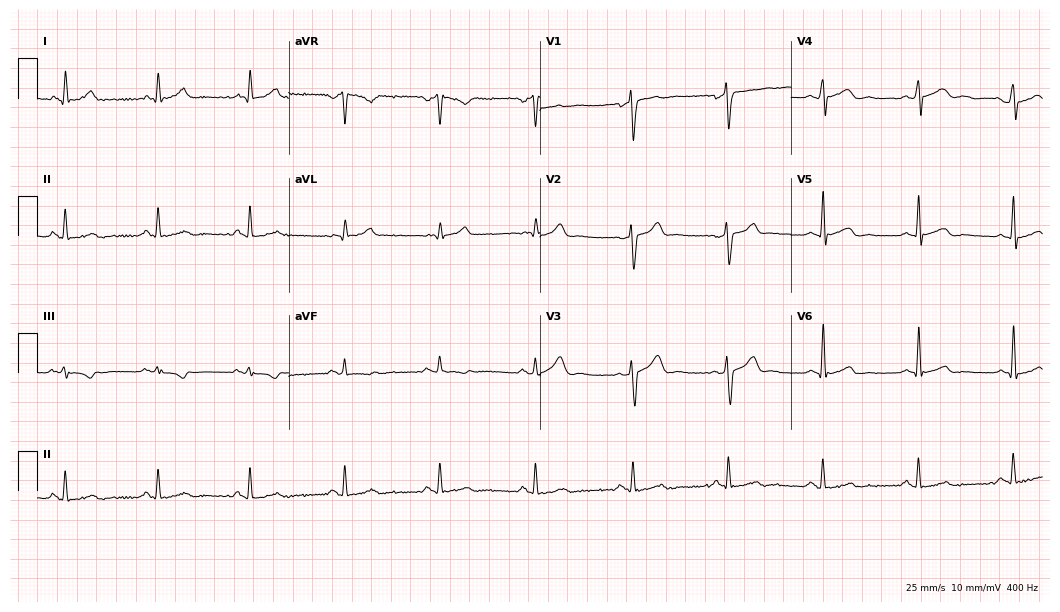
Resting 12-lead electrocardiogram. Patient: a man, 40 years old. None of these six findings is recorded: first-degree AV block, right bundle branch block (RBBB), left bundle branch block (LBBB), sinus bradycardia, atrial fibrillation (AF), sinus tachycardia. Findings outside these six are not listed.